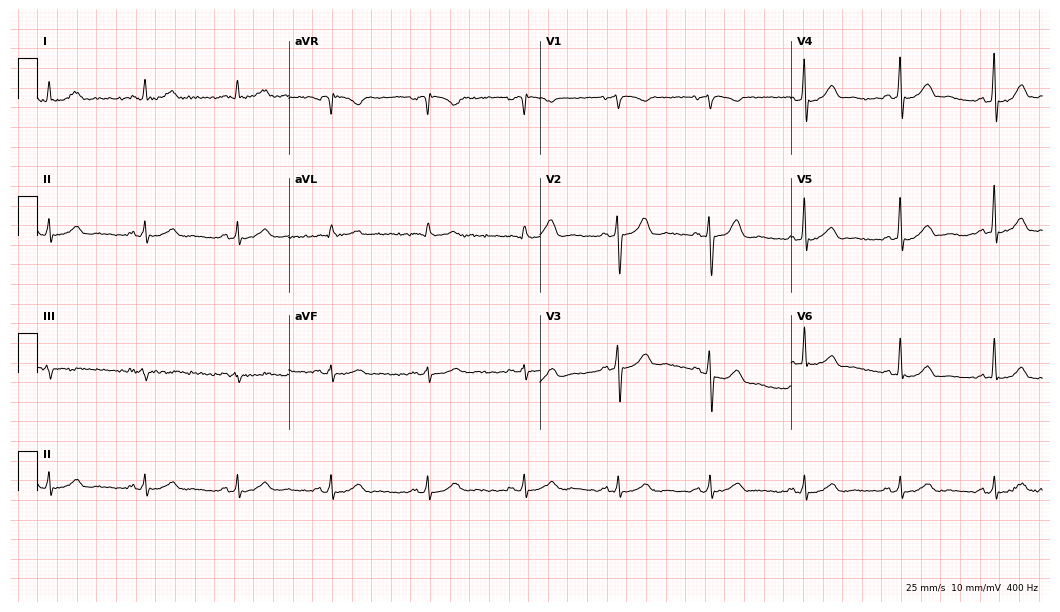
ECG (10.2-second recording at 400 Hz) — a 61-year-old male. Labelled as a normal ECG.